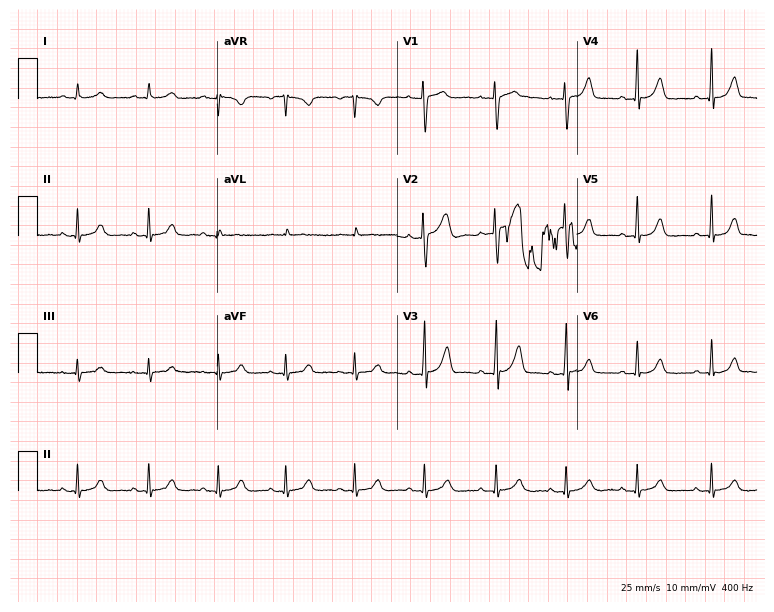
12-lead ECG from a female, 44 years old. Screened for six findings — first-degree AV block, right bundle branch block (RBBB), left bundle branch block (LBBB), sinus bradycardia, atrial fibrillation (AF), sinus tachycardia — none is recorded.